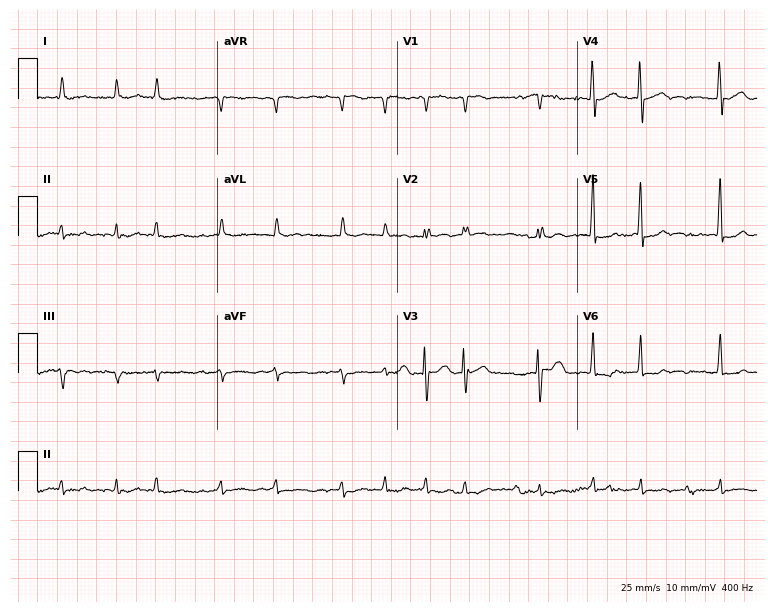
ECG (7.3-second recording at 400 Hz) — an 84-year-old male. Findings include atrial fibrillation (AF).